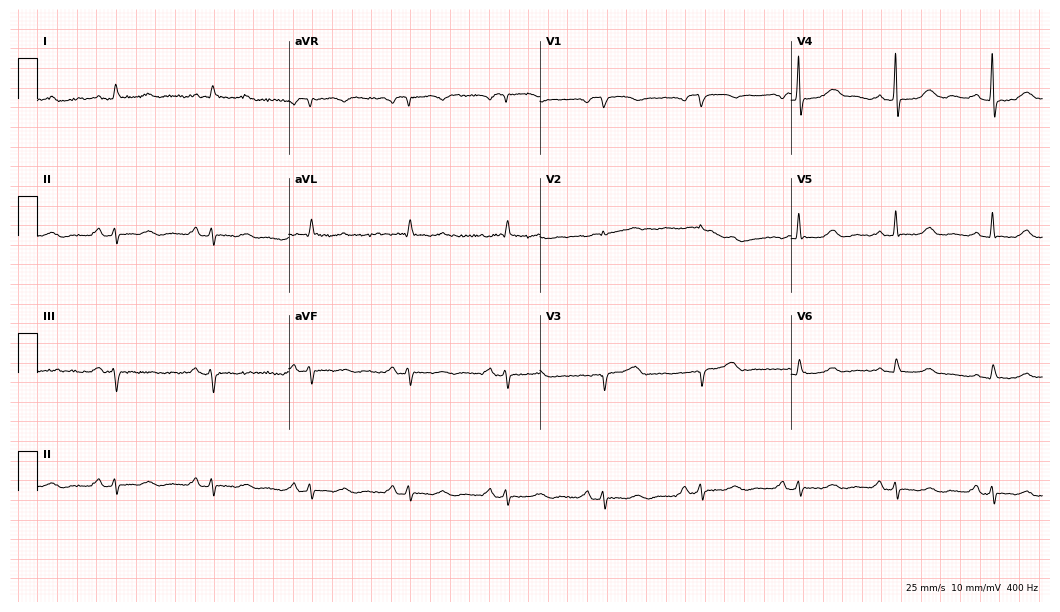
12-lead ECG (10.2-second recording at 400 Hz) from a man, 83 years old. Screened for six findings — first-degree AV block, right bundle branch block, left bundle branch block, sinus bradycardia, atrial fibrillation, sinus tachycardia — none is recorded.